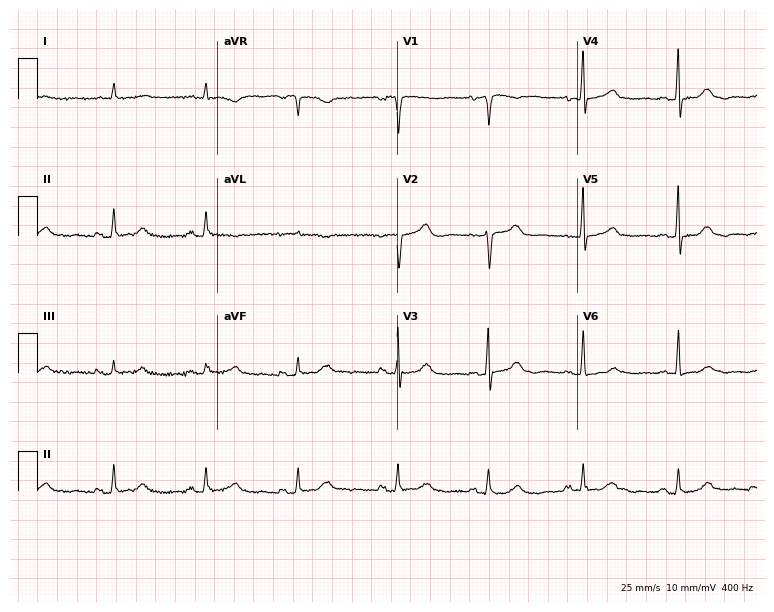
Electrocardiogram (7.3-second recording at 400 Hz), a man, 75 years old. Of the six screened findings (first-degree AV block, right bundle branch block (RBBB), left bundle branch block (LBBB), sinus bradycardia, atrial fibrillation (AF), sinus tachycardia), none is recorded.